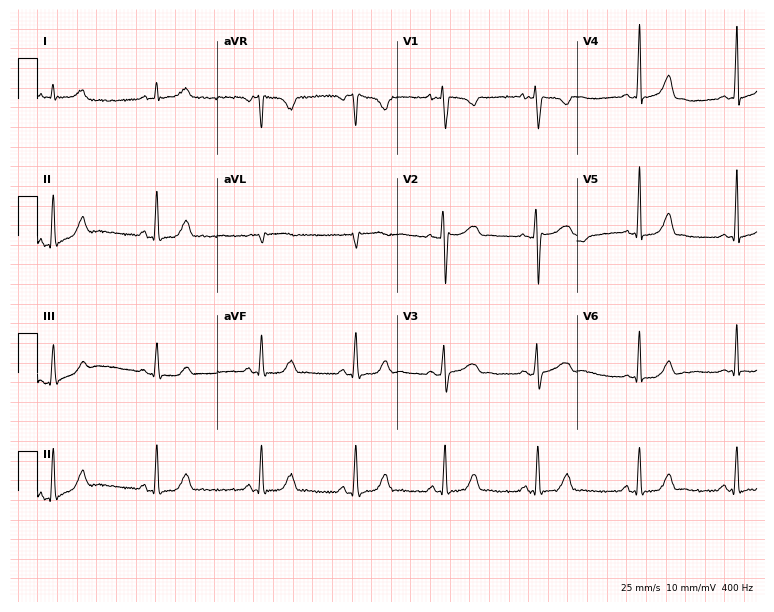
Electrocardiogram (7.3-second recording at 400 Hz), a 29-year-old female patient. Overall reading on record: normal ECG.